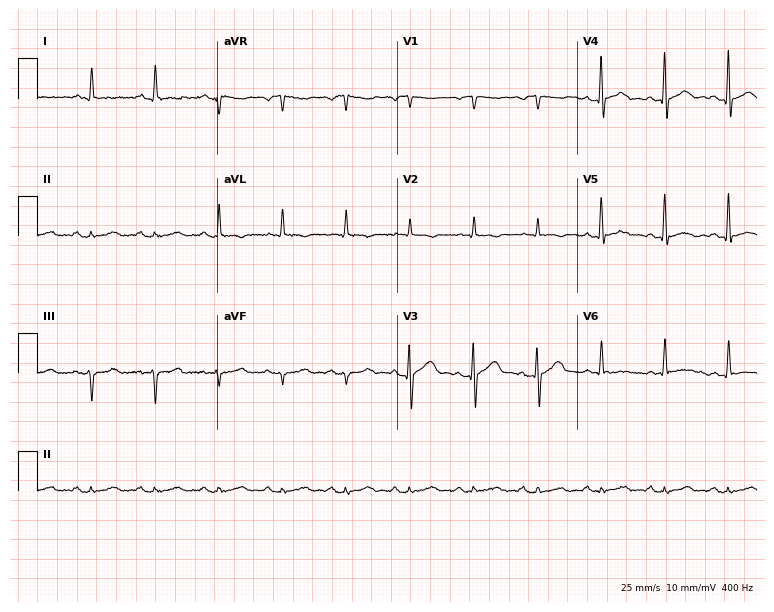
Standard 12-lead ECG recorded from a 52-year-old male. None of these six findings is recorded: first-degree AV block, right bundle branch block (RBBB), left bundle branch block (LBBB), sinus bradycardia, atrial fibrillation (AF), sinus tachycardia.